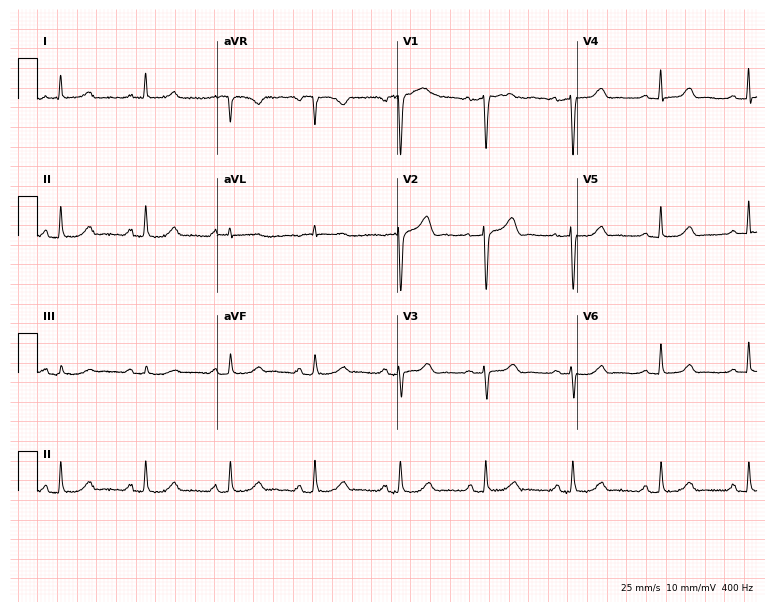
ECG (7.3-second recording at 400 Hz) — a female, 57 years old. Labelled as a normal ECG.